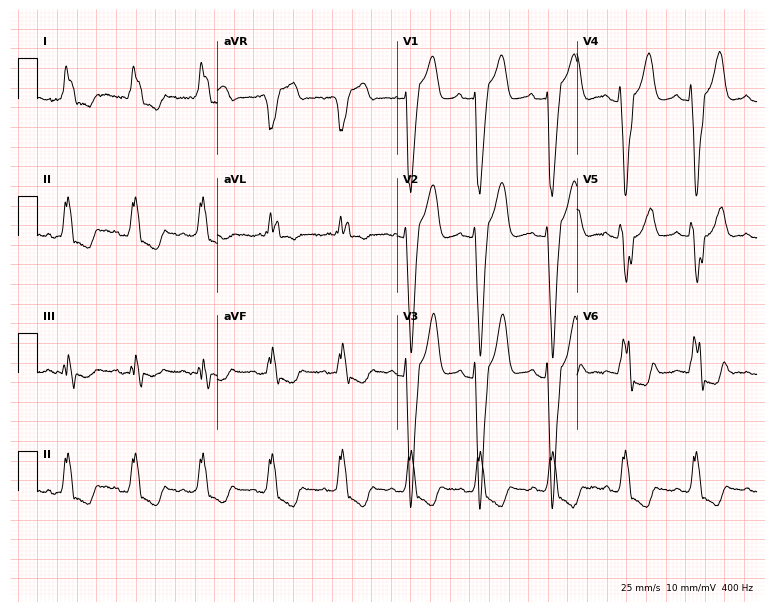
Resting 12-lead electrocardiogram. Patient: an 80-year-old female. None of these six findings is recorded: first-degree AV block, right bundle branch block, left bundle branch block, sinus bradycardia, atrial fibrillation, sinus tachycardia.